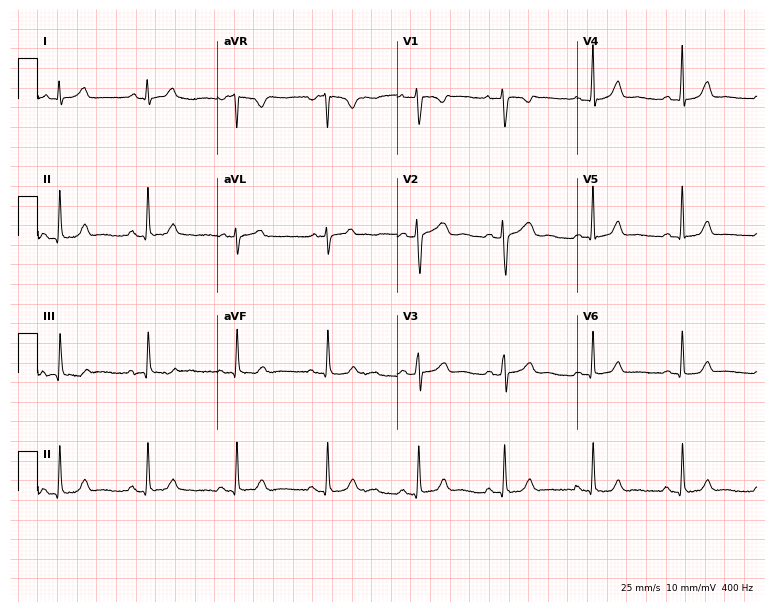
Electrocardiogram (7.3-second recording at 400 Hz), a woman, 30 years old. Overall reading on record: normal ECG.